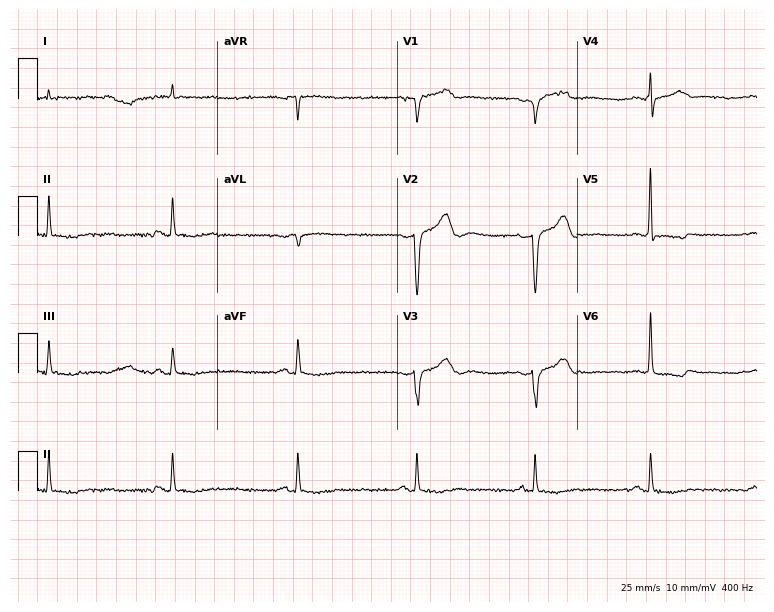
Resting 12-lead electrocardiogram. Patient: an 84-year-old male. None of these six findings is recorded: first-degree AV block, right bundle branch block, left bundle branch block, sinus bradycardia, atrial fibrillation, sinus tachycardia. Only these six findings were labelled.